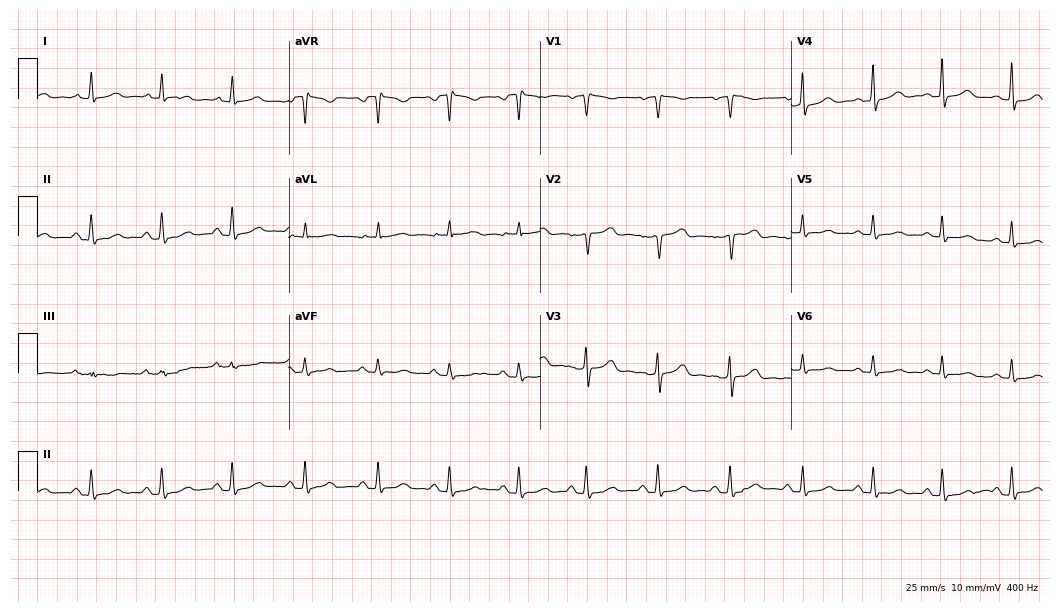
Resting 12-lead electrocardiogram (10.2-second recording at 400 Hz). Patient: a female, 49 years old. Read as a normal ECG.